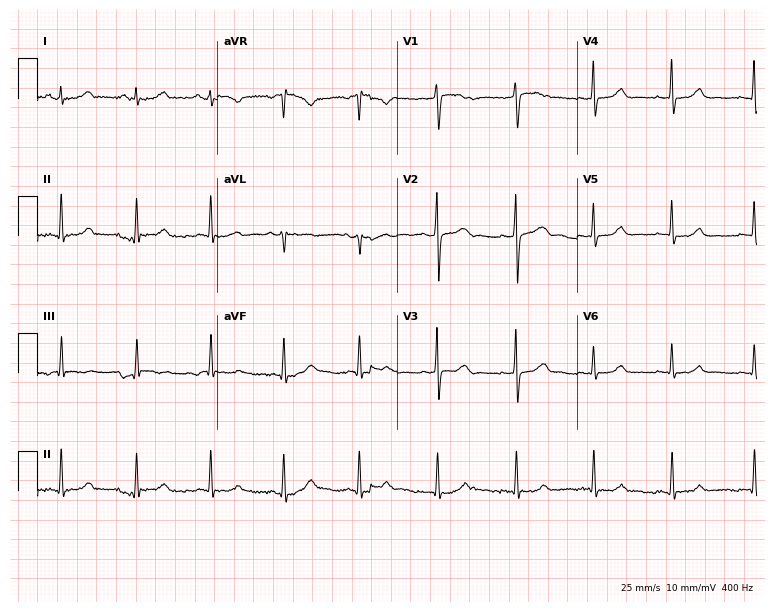
Standard 12-lead ECG recorded from a female, 41 years old. Read as a normal ECG.